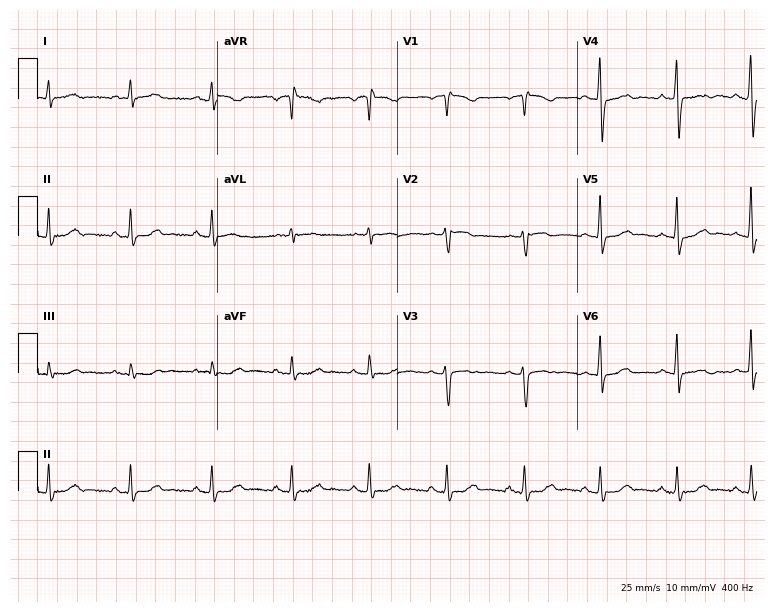
ECG (7.3-second recording at 400 Hz) — a 62-year-old female patient. Labelled as a normal ECG.